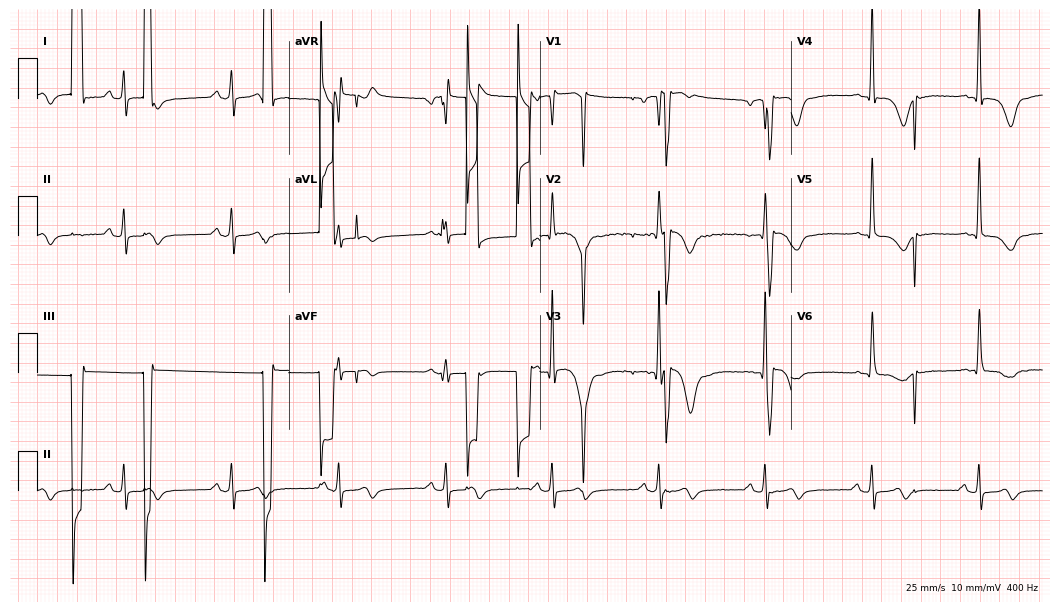
12-lead ECG from an 85-year-old male patient. Screened for six findings — first-degree AV block, right bundle branch block, left bundle branch block, sinus bradycardia, atrial fibrillation, sinus tachycardia — none is recorded.